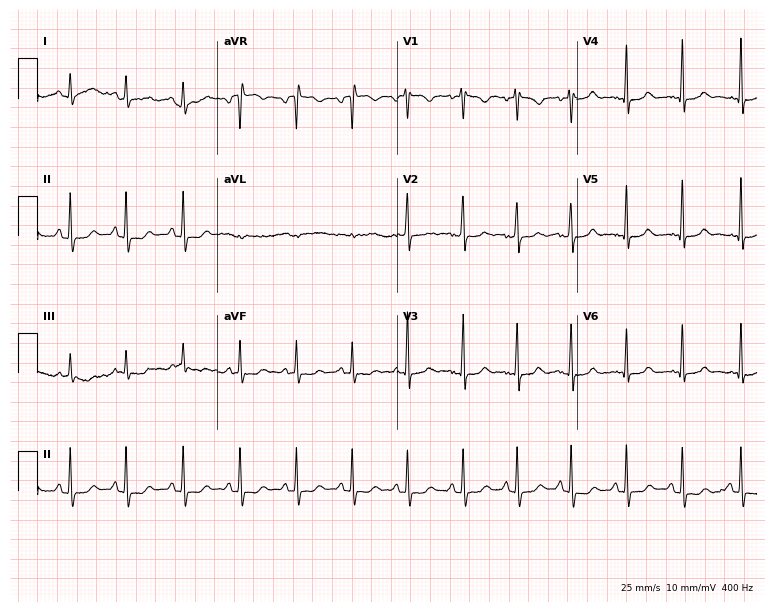
ECG (7.3-second recording at 400 Hz) — a woman, 26 years old. Findings include sinus tachycardia (a sinus rate of 100 beats per minute or more).